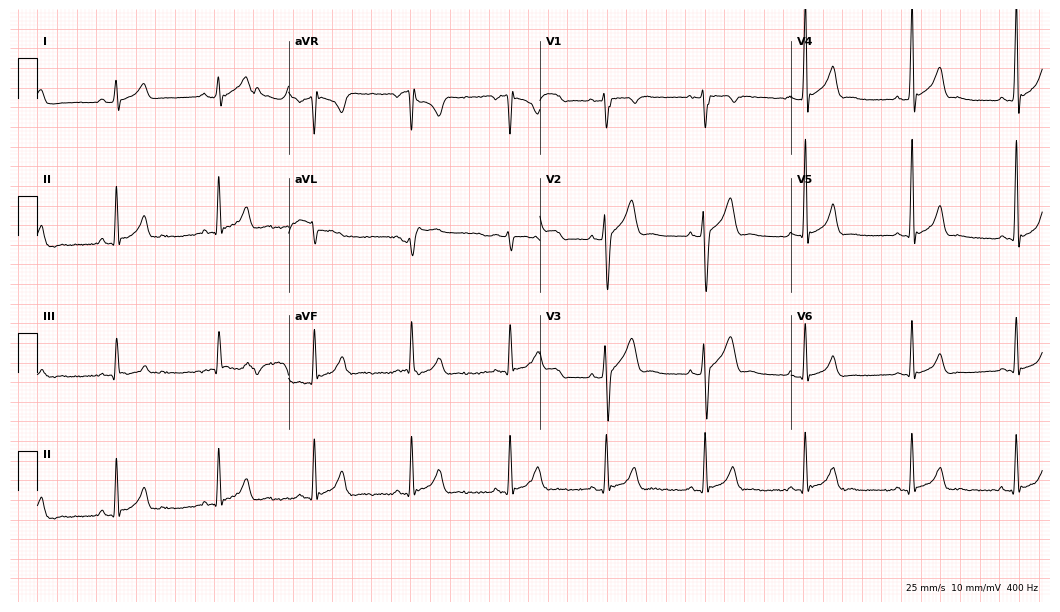
12-lead ECG from a male patient, 26 years old. Labelled as a normal ECG.